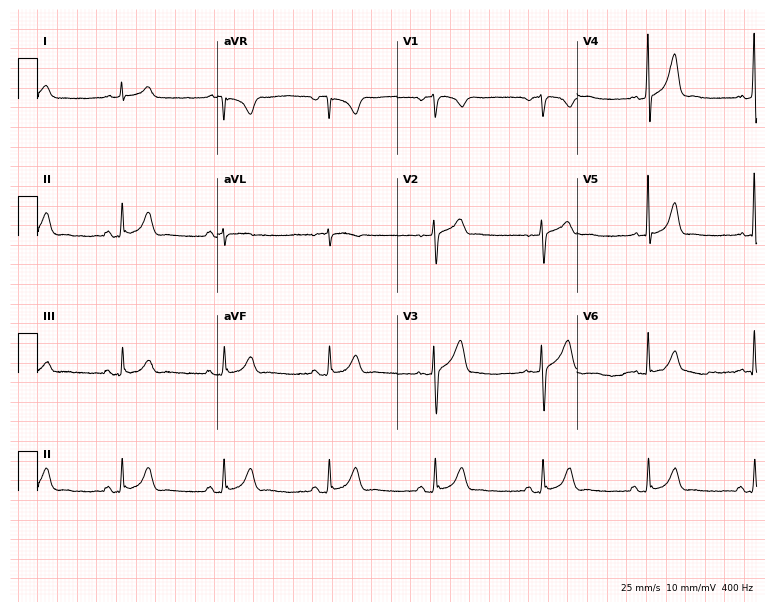
Electrocardiogram (7.3-second recording at 400 Hz), a 61-year-old male. Overall reading on record: normal ECG.